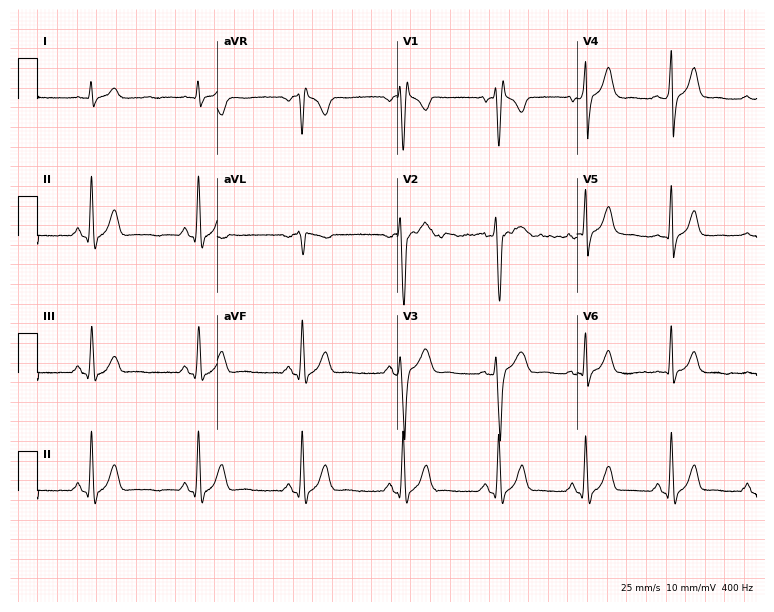
12-lead ECG from a 30-year-old male (7.3-second recording at 400 Hz). Shows right bundle branch block.